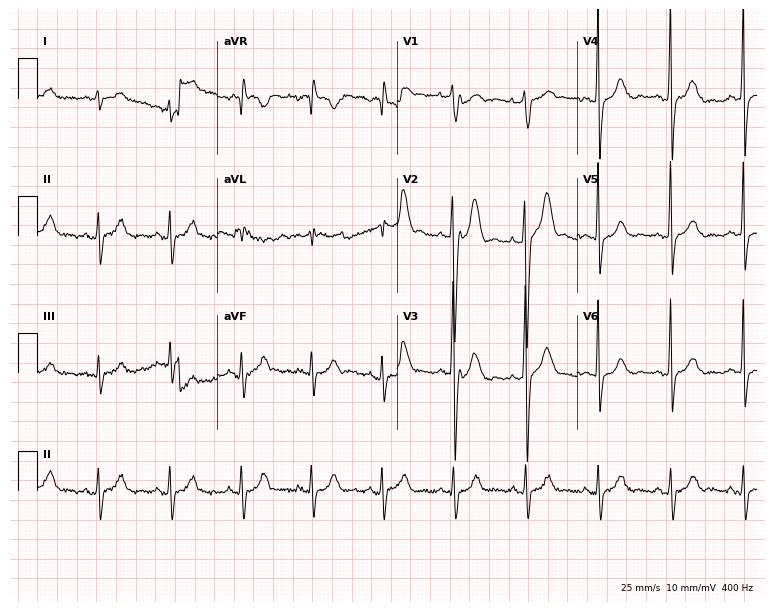
ECG (7.3-second recording at 400 Hz) — a male patient, 53 years old. Labelled as a normal ECG.